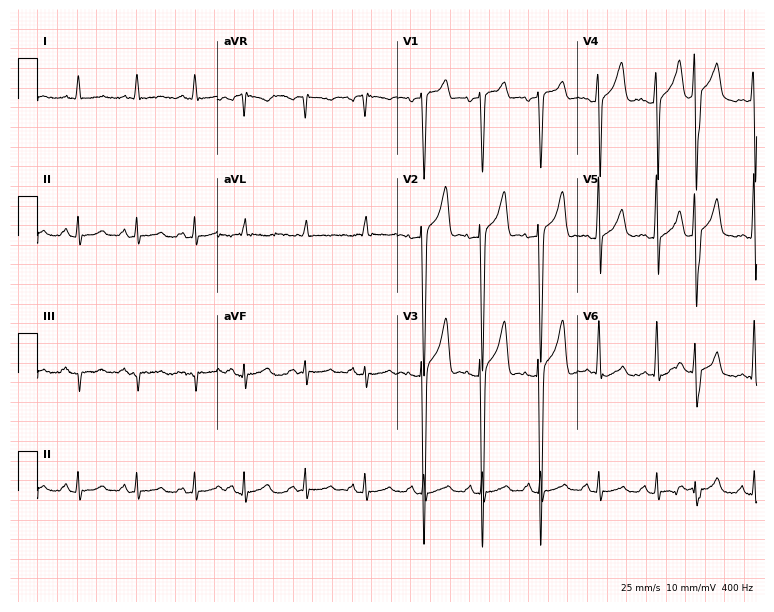
Standard 12-lead ECG recorded from a man, 40 years old. The tracing shows sinus tachycardia (a sinus rate of 100 beats per minute or more).